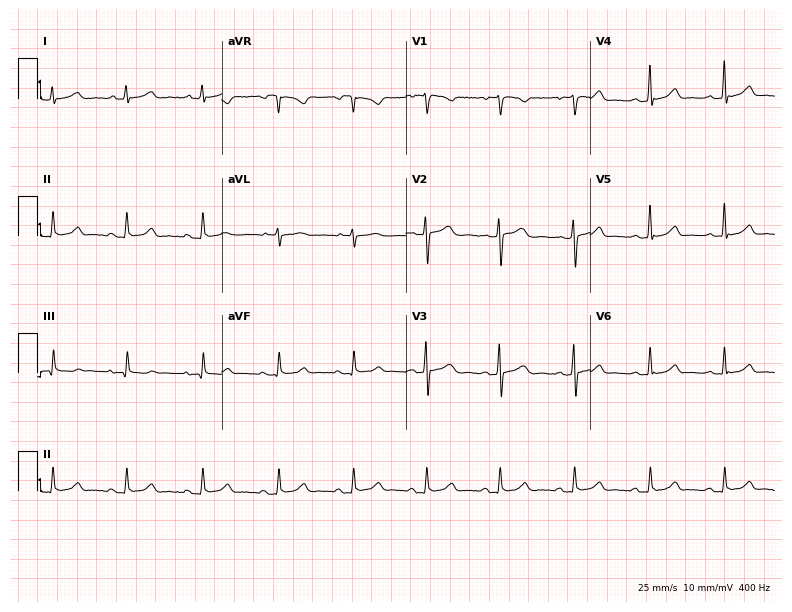
12-lead ECG (7.5-second recording at 400 Hz) from a 40-year-old female. Labelled as a normal ECG.